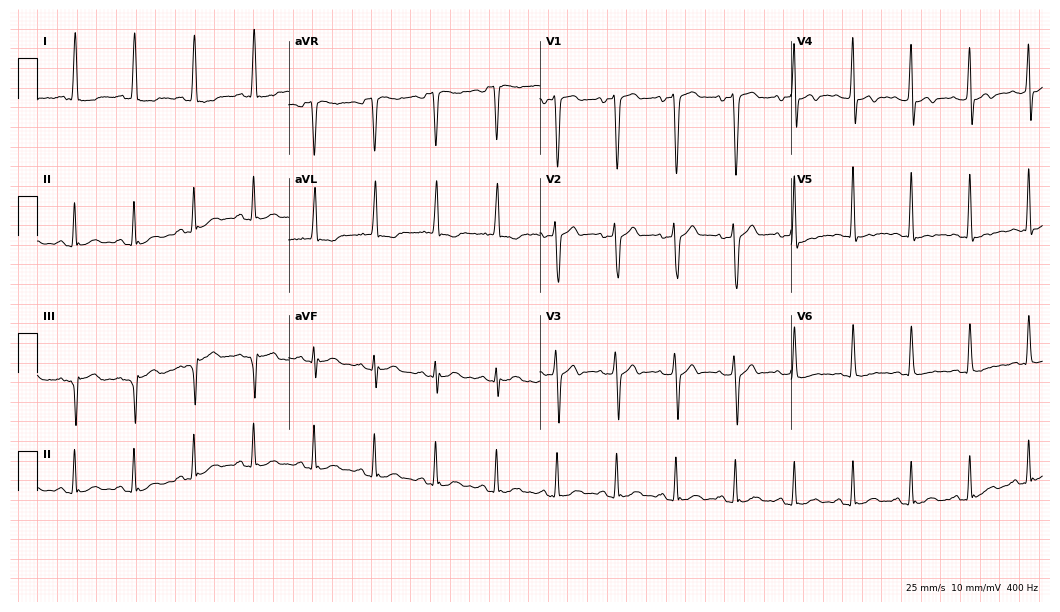
Electrocardiogram, a man, 43 years old. Of the six screened findings (first-degree AV block, right bundle branch block (RBBB), left bundle branch block (LBBB), sinus bradycardia, atrial fibrillation (AF), sinus tachycardia), none is recorded.